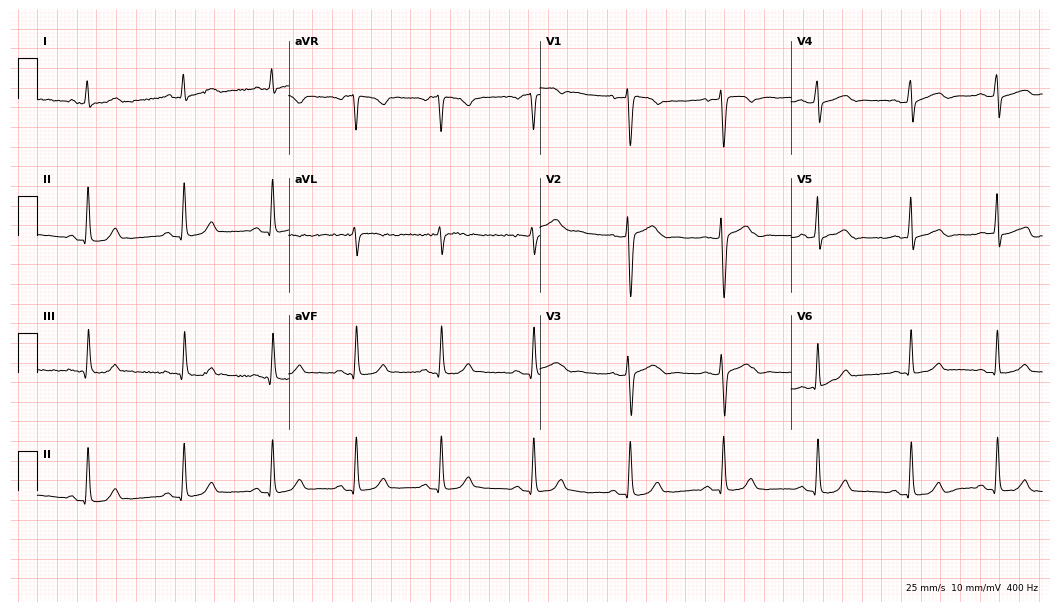
Electrocardiogram (10.2-second recording at 400 Hz), a female patient, 35 years old. Overall reading on record: normal ECG.